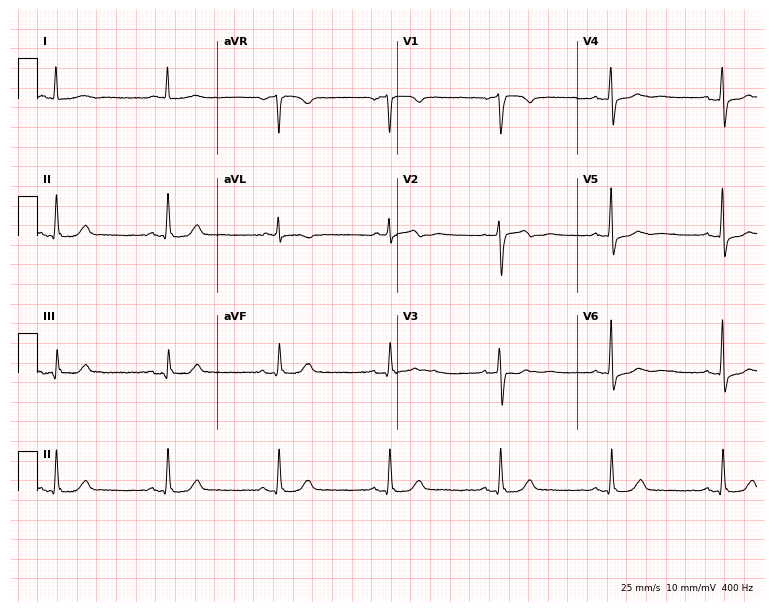
12-lead ECG from a 73-year-old man. Labelled as a normal ECG.